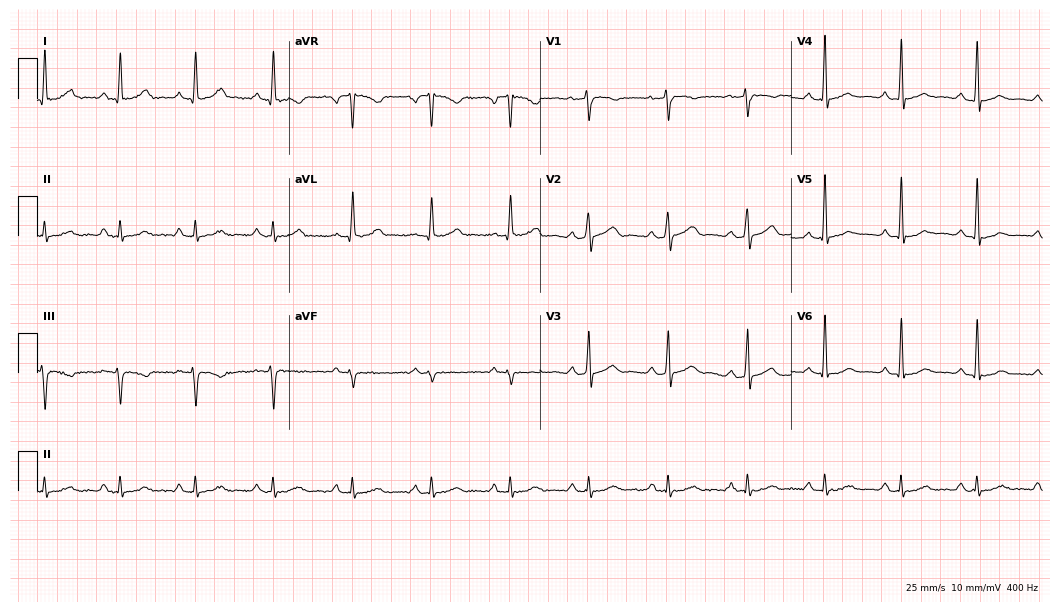
Electrocardiogram, a male patient, 51 years old. Of the six screened findings (first-degree AV block, right bundle branch block (RBBB), left bundle branch block (LBBB), sinus bradycardia, atrial fibrillation (AF), sinus tachycardia), none is recorded.